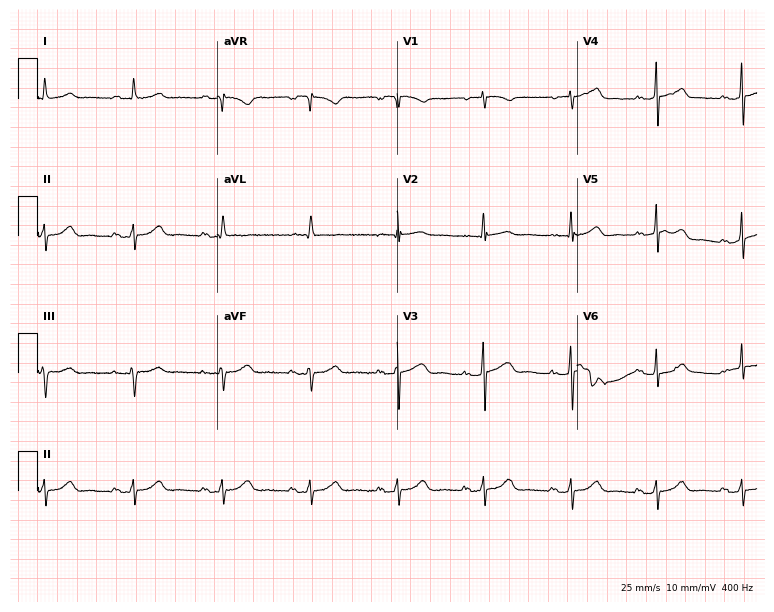
12-lead ECG from a 74-year-old woman. Labelled as a normal ECG.